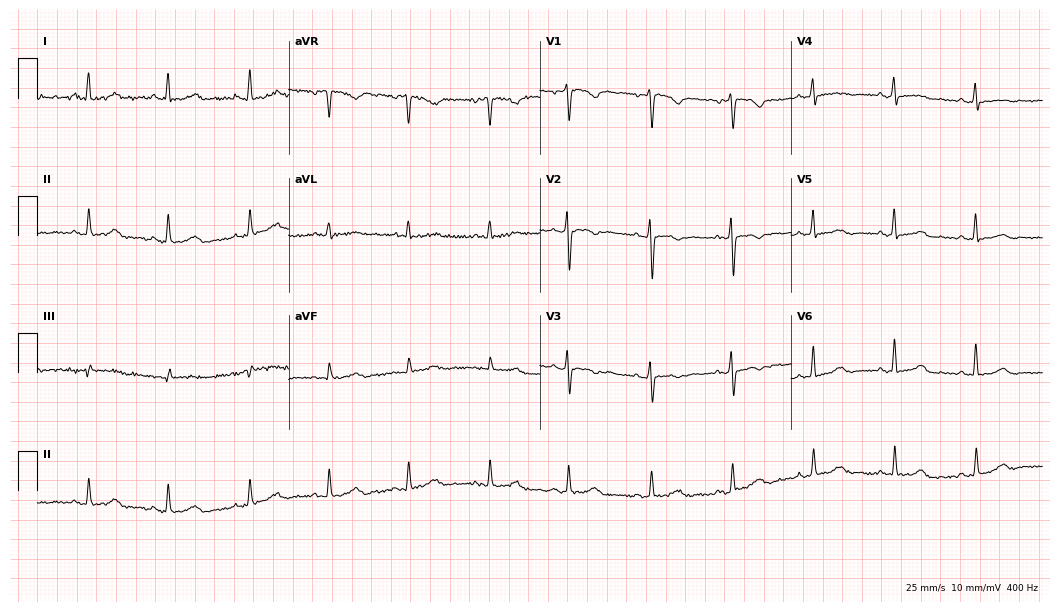
Standard 12-lead ECG recorded from a female, 56 years old. None of these six findings is recorded: first-degree AV block, right bundle branch block, left bundle branch block, sinus bradycardia, atrial fibrillation, sinus tachycardia. Other findings, if any, are not listed.